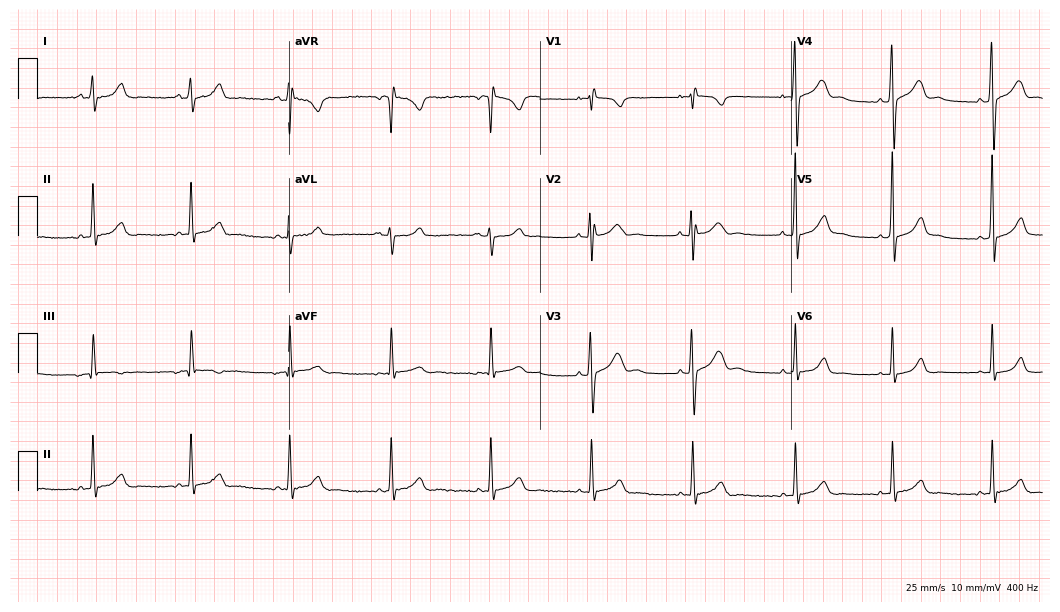
Resting 12-lead electrocardiogram (10.2-second recording at 400 Hz). Patient: a 17-year-old female. Read as a normal ECG.